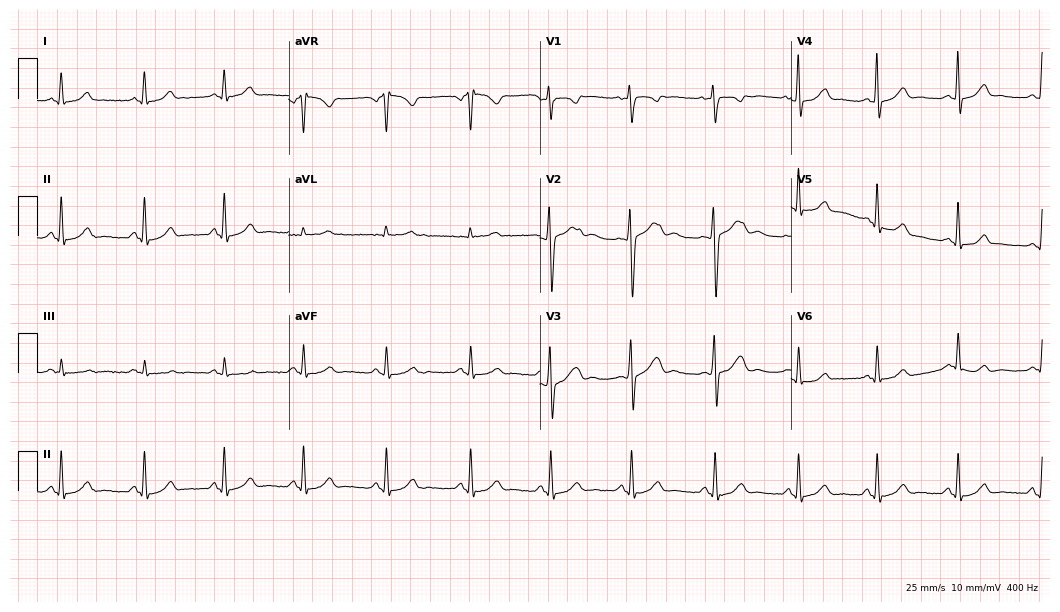
Resting 12-lead electrocardiogram. Patient: a 23-year-old female. None of these six findings is recorded: first-degree AV block, right bundle branch block, left bundle branch block, sinus bradycardia, atrial fibrillation, sinus tachycardia.